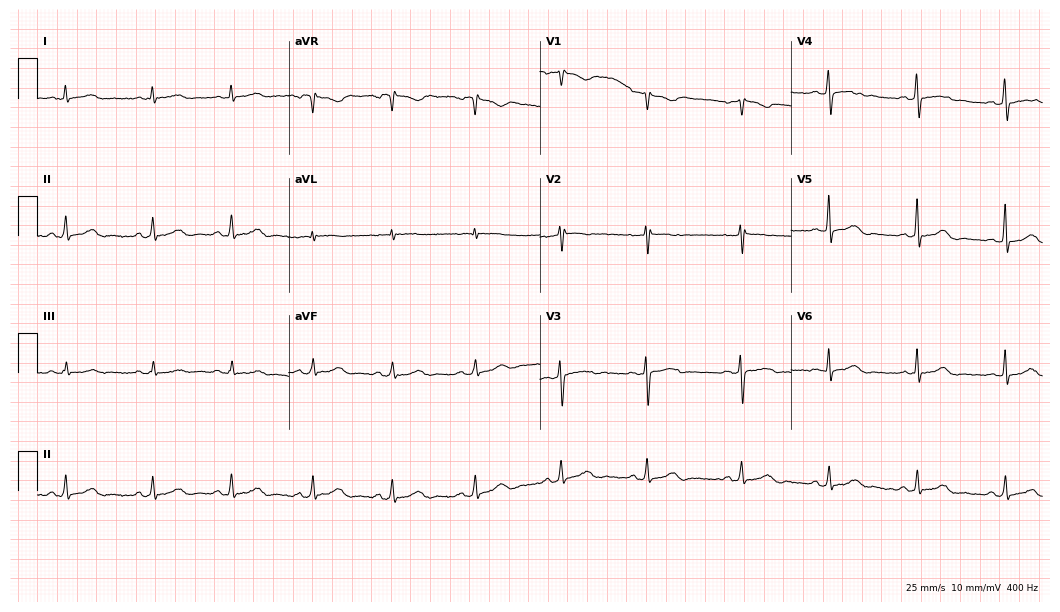
12-lead ECG from a 37-year-old woman. Labelled as a normal ECG.